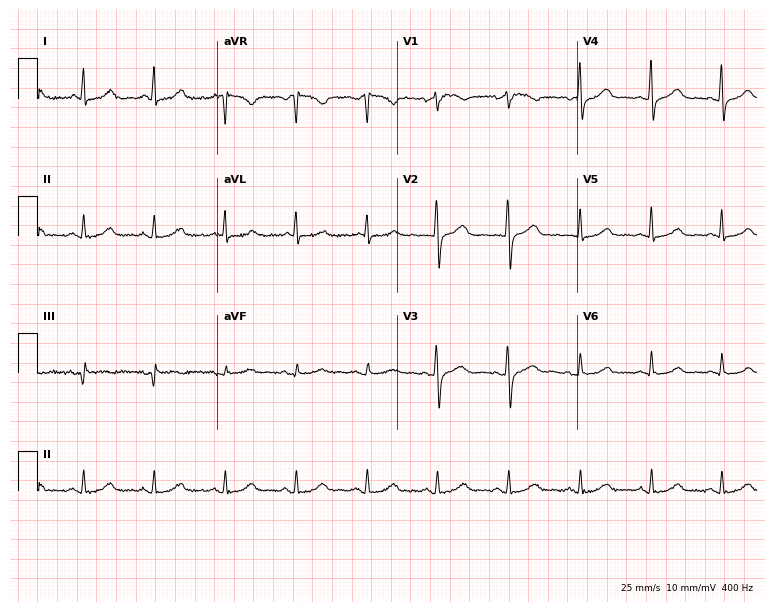
Resting 12-lead electrocardiogram (7.3-second recording at 400 Hz). Patient: a female, 66 years old. Read as a normal ECG.